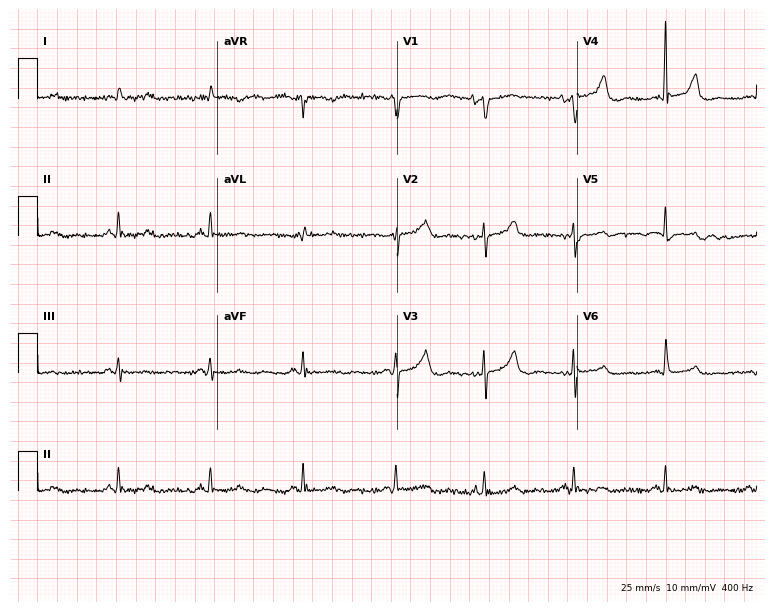
Standard 12-lead ECG recorded from a female, 71 years old. None of these six findings is recorded: first-degree AV block, right bundle branch block, left bundle branch block, sinus bradycardia, atrial fibrillation, sinus tachycardia. Findings outside these six are not listed.